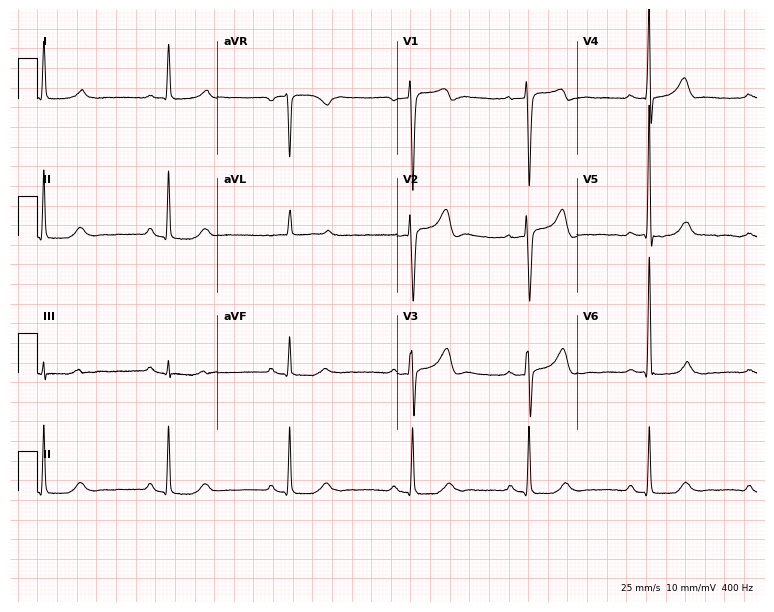
ECG — a 65-year-old male. Screened for six findings — first-degree AV block, right bundle branch block (RBBB), left bundle branch block (LBBB), sinus bradycardia, atrial fibrillation (AF), sinus tachycardia — none is recorded.